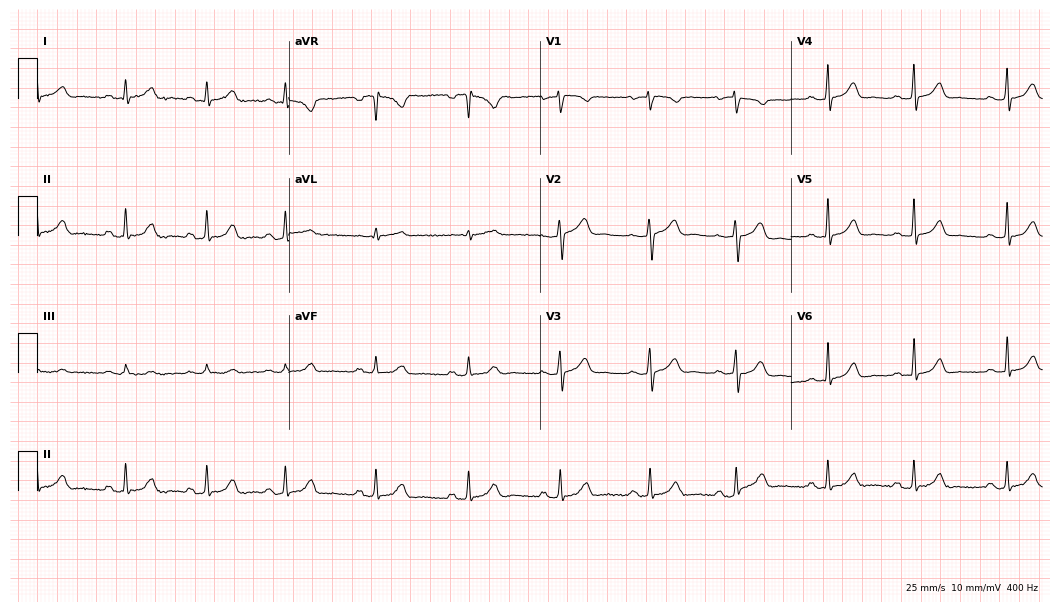
Standard 12-lead ECG recorded from a 37-year-old female patient. Read as a normal ECG.